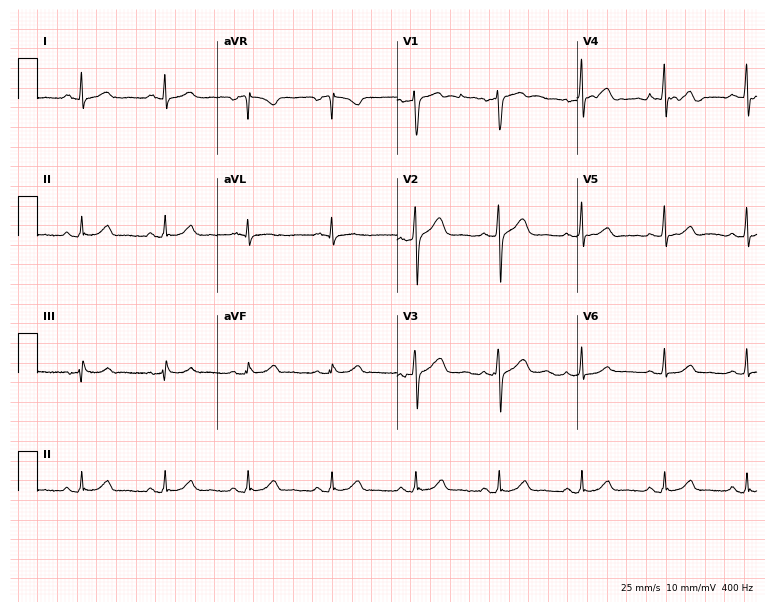
ECG — a 37-year-old male. Labelled as a normal ECG.